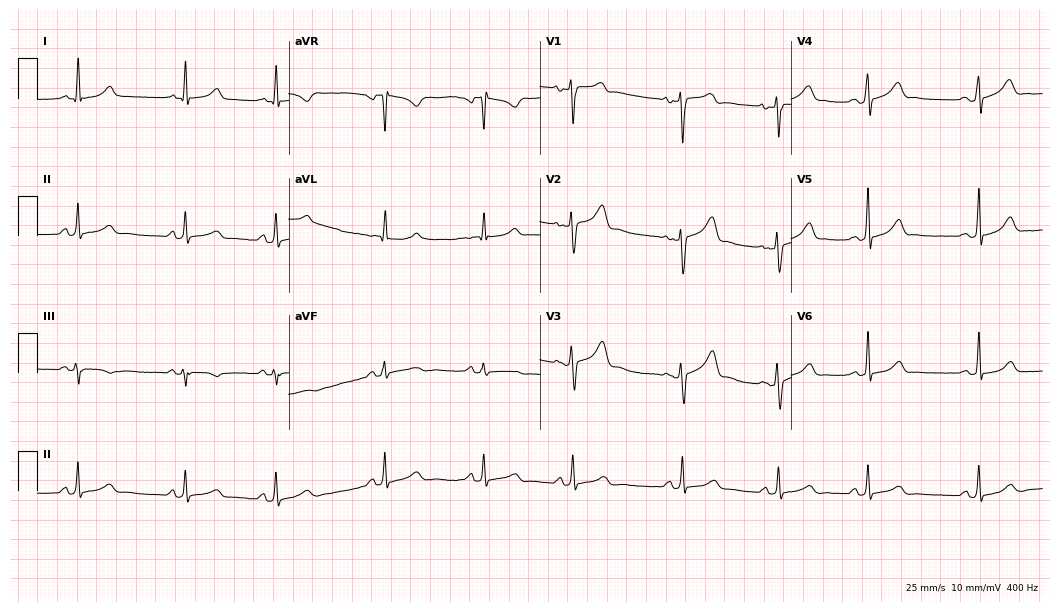
12-lead ECG (10.2-second recording at 400 Hz) from a female, 24 years old. Labelled as a normal ECG.